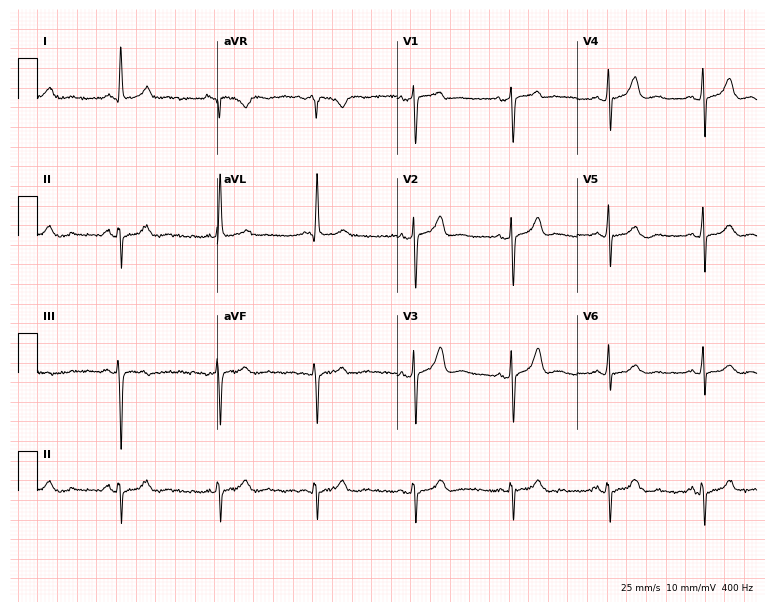
Standard 12-lead ECG recorded from a woman, 76 years old. None of these six findings is recorded: first-degree AV block, right bundle branch block, left bundle branch block, sinus bradycardia, atrial fibrillation, sinus tachycardia.